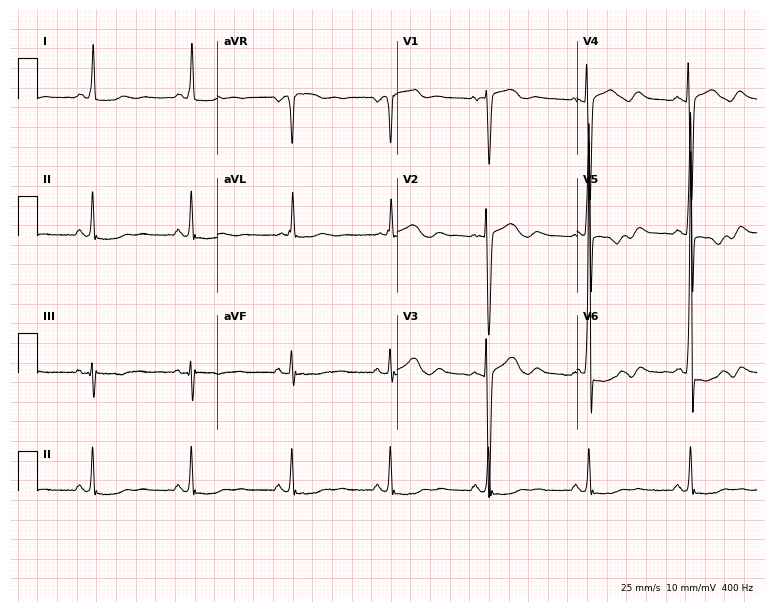
Resting 12-lead electrocardiogram. Patient: a woman, 83 years old. None of these six findings is recorded: first-degree AV block, right bundle branch block, left bundle branch block, sinus bradycardia, atrial fibrillation, sinus tachycardia. Only these six findings were labelled.